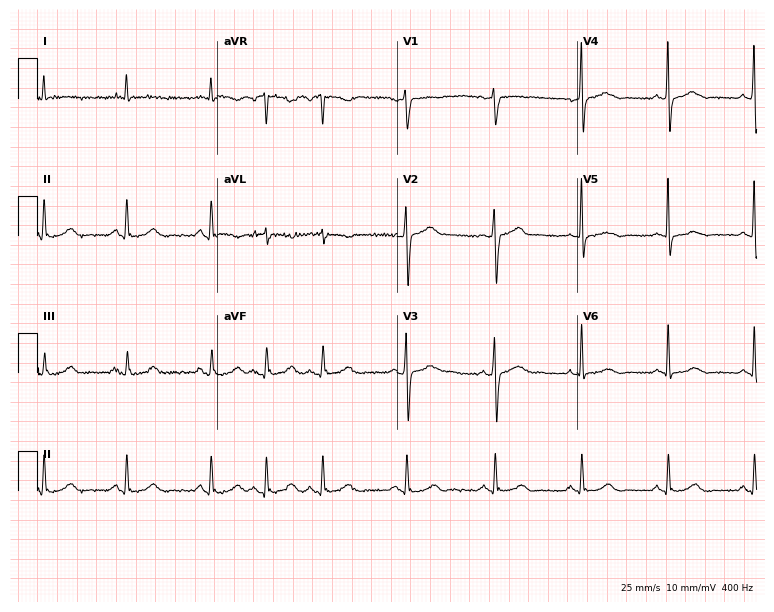
12-lead ECG (7.3-second recording at 400 Hz) from a 79-year-old male patient. Screened for six findings — first-degree AV block, right bundle branch block (RBBB), left bundle branch block (LBBB), sinus bradycardia, atrial fibrillation (AF), sinus tachycardia — none is recorded. Only these six findings were labelled.